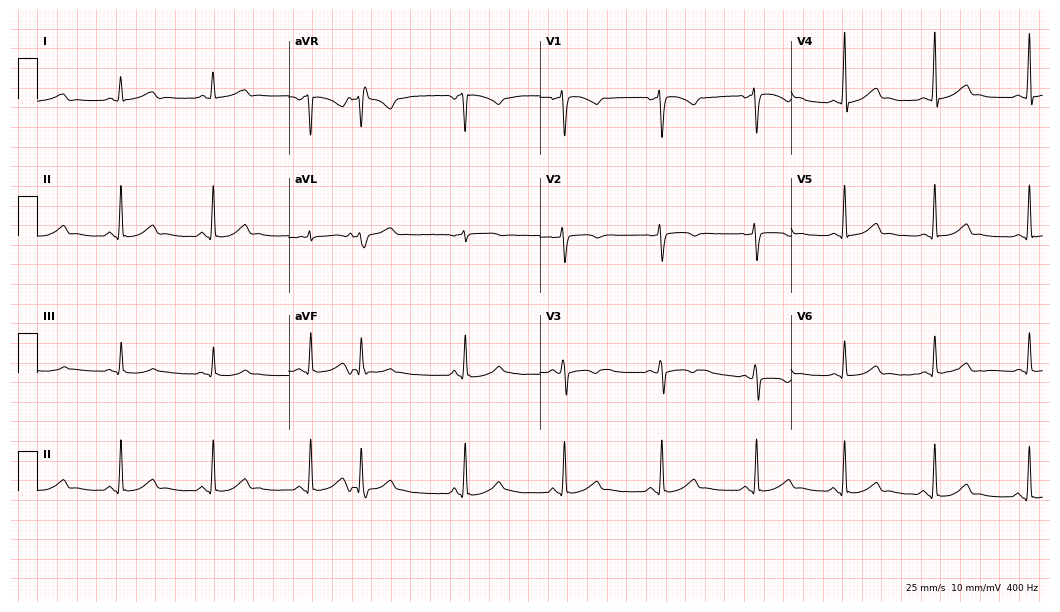
ECG (10.2-second recording at 400 Hz) — a 33-year-old female. Screened for six findings — first-degree AV block, right bundle branch block, left bundle branch block, sinus bradycardia, atrial fibrillation, sinus tachycardia — none is recorded. Only these six findings were labelled.